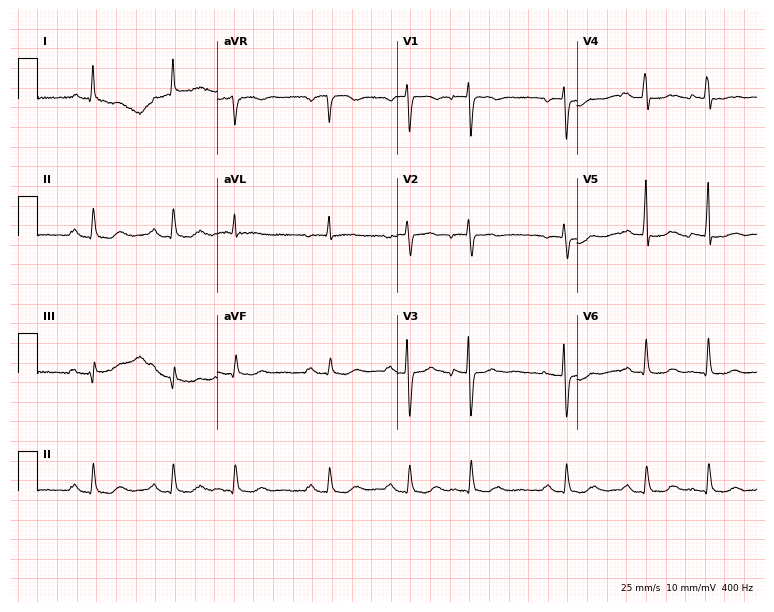
Electrocardiogram, an 84-year-old woman. Of the six screened findings (first-degree AV block, right bundle branch block, left bundle branch block, sinus bradycardia, atrial fibrillation, sinus tachycardia), none is recorded.